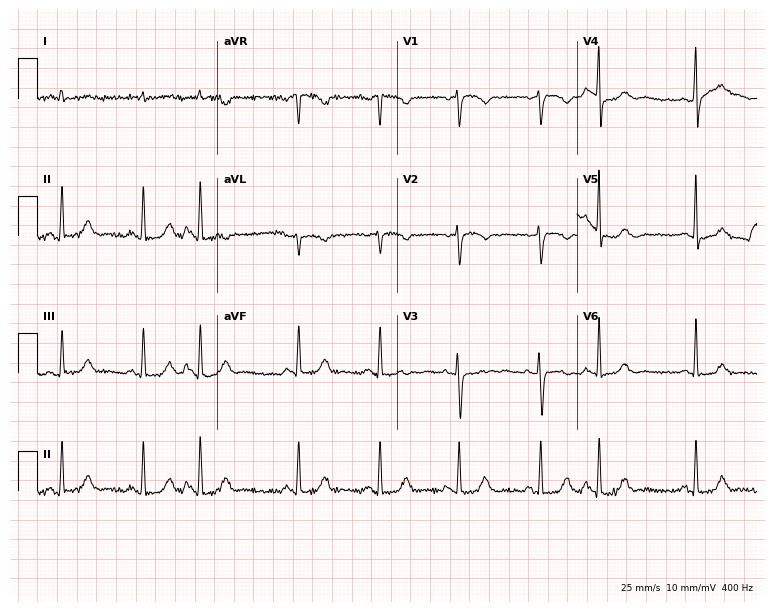
Resting 12-lead electrocardiogram (7.3-second recording at 400 Hz). Patient: a female, 58 years old. None of these six findings is recorded: first-degree AV block, right bundle branch block, left bundle branch block, sinus bradycardia, atrial fibrillation, sinus tachycardia.